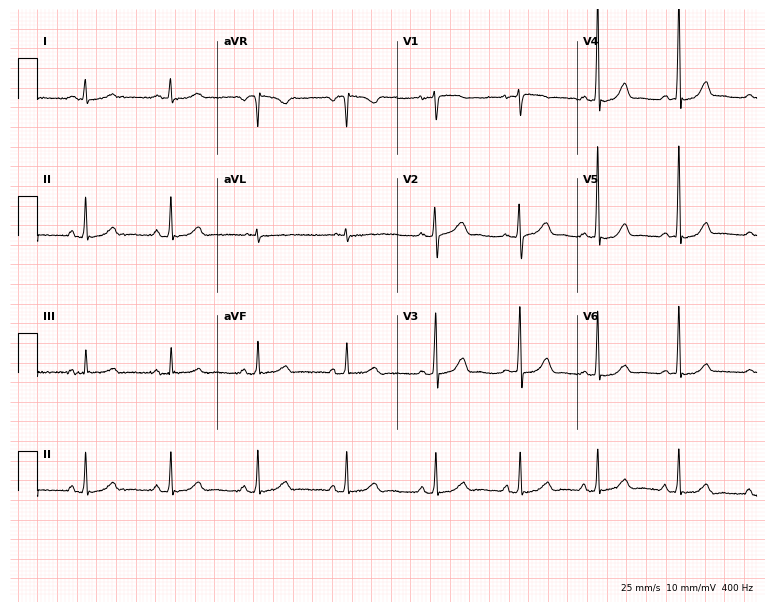
Electrocardiogram (7.3-second recording at 400 Hz), a 26-year-old female patient. Overall reading on record: normal ECG.